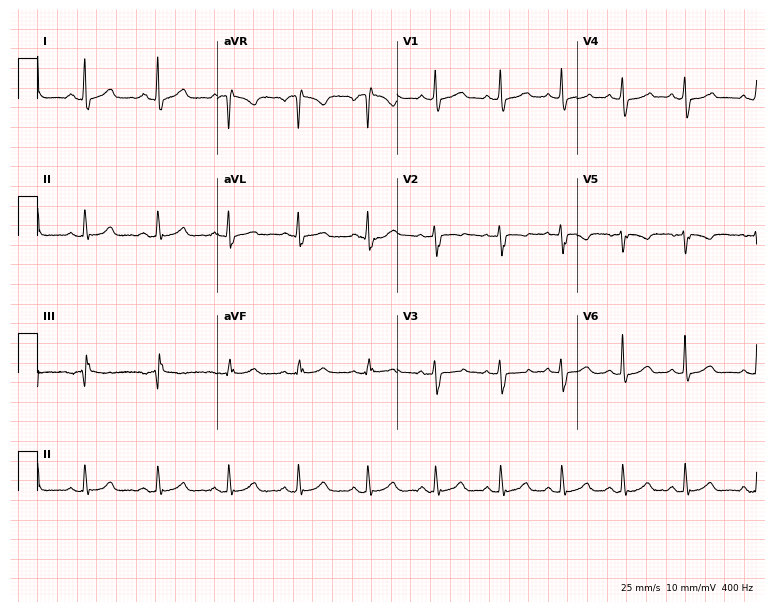
Standard 12-lead ECG recorded from a 31-year-old female. None of these six findings is recorded: first-degree AV block, right bundle branch block, left bundle branch block, sinus bradycardia, atrial fibrillation, sinus tachycardia. Only these six findings were labelled.